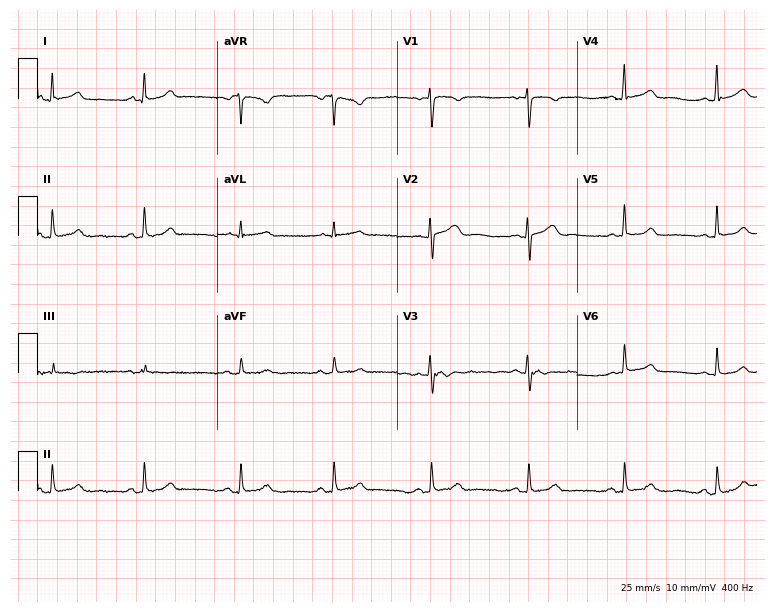
Standard 12-lead ECG recorded from a 22-year-old female patient (7.3-second recording at 400 Hz). Read as a normal ECG.